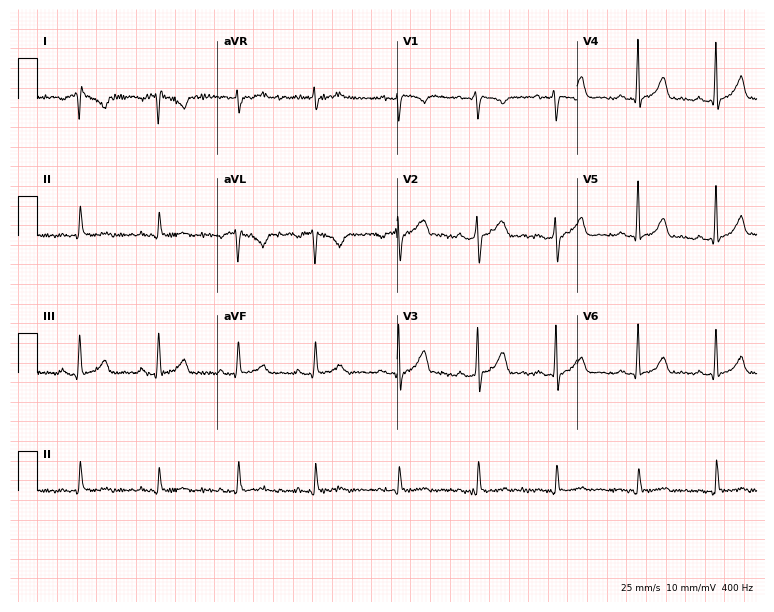
Standard 12-lead ECG recorded from a 44-year-old female patient (7.3-second recording at 400 Hz). Read as a normal ECG.